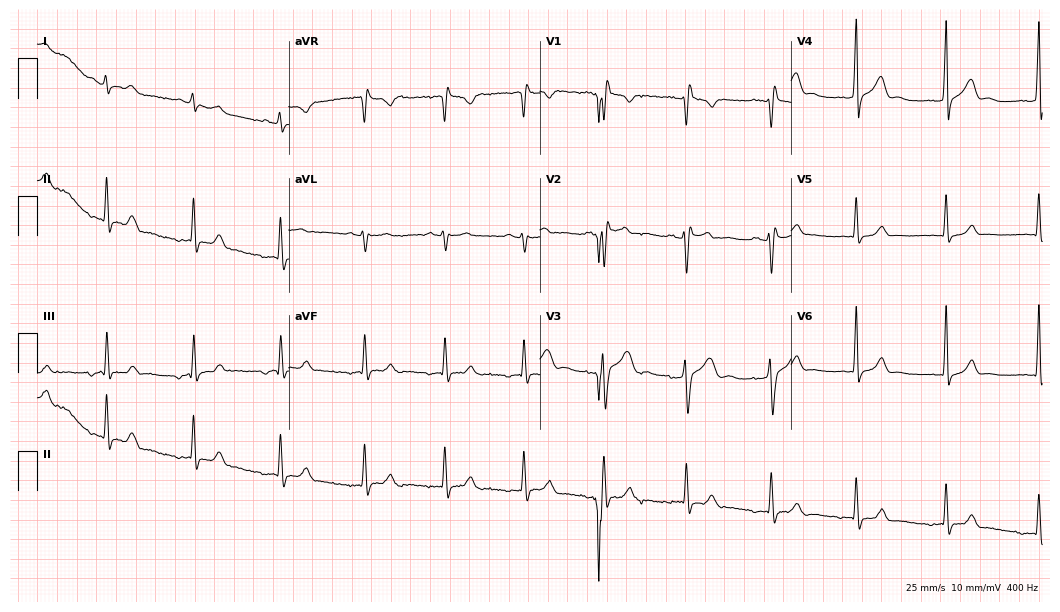
ECG — a 28-year-old male. Screened for six findings — first-degree AV block, right bundle branch block (RBBB), left bundle branch block (LBBB), sinus bradycardia, atrial fibrillation (AF), sinus tachycardia — none is recorded.